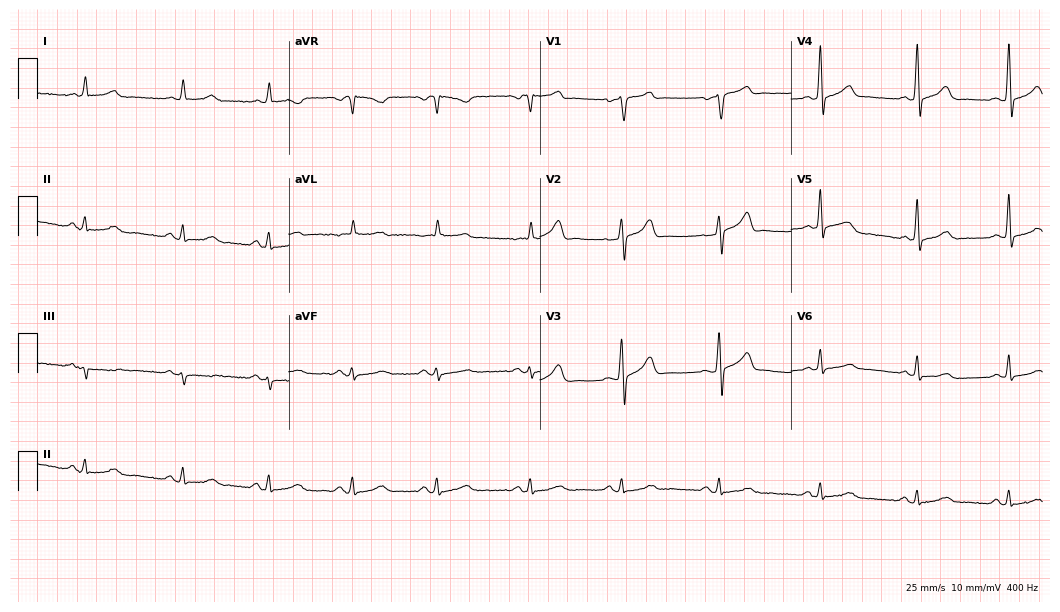
Resting 12-lead electrocardiogram (10.2-second recording at 400 Hz). Patient: a male, 77 years old. None of these six findings is recorded: first-degree AV block, right bundle branch block (RBBB), left bundle branch block (LBBB), sinus bradycardia, atrial fibrillation (AF), sinus tachycardia. Only these six findings were labelled.